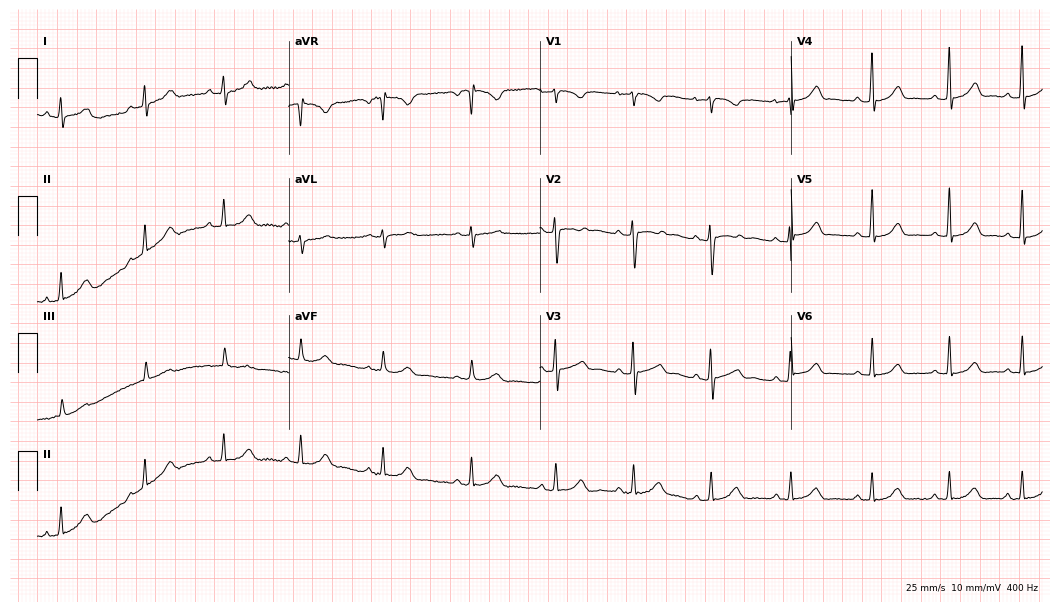
Electrocardiogram (10.2-second recording at 400 Hz), a 20-year-old female. Overall reading on record: normal ECG.